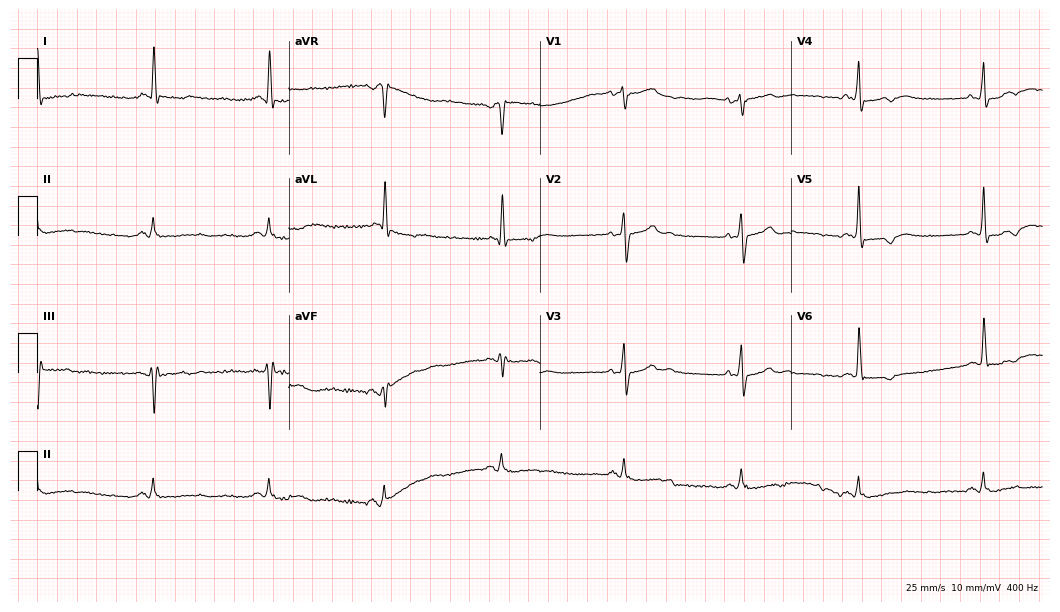
Resting 12-lead electrocardiogram (10.2-second recording at 400 Hz). Patient: a male, 70 years old. Read as a normal ECG.